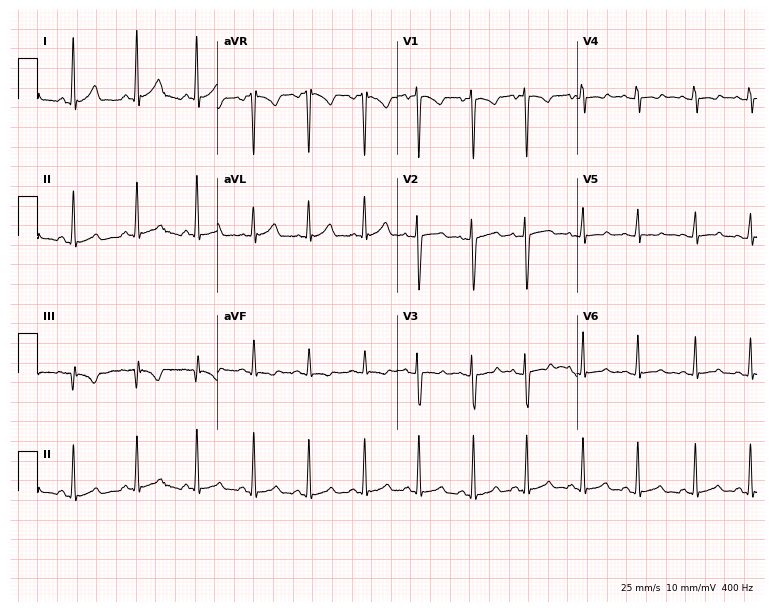
ECG (7.3-second recording at 400 Hz) — a woman, 25 years old. Findings include sinus tachycardia (a sinus rate of 100 beats per minute or more).